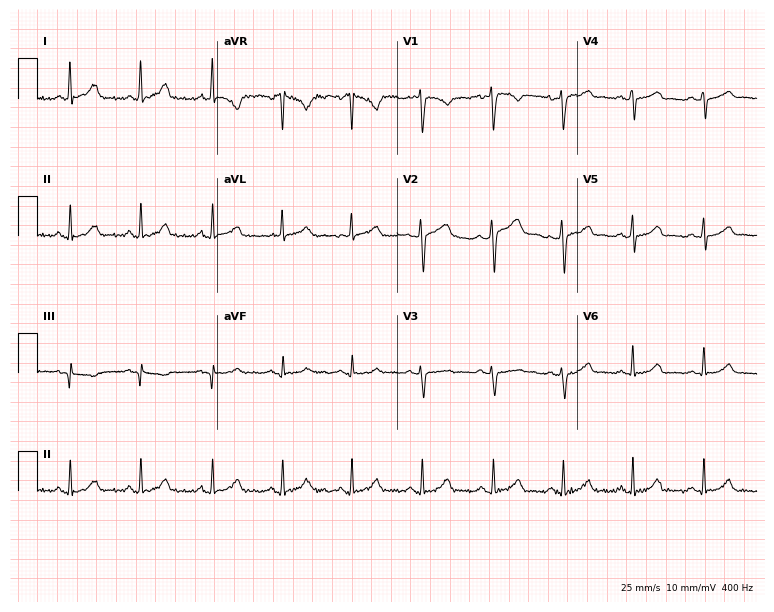
Standard 12-lead ECG recorded from a 45-year-old female (7.3-second recording at 400 Hz). Read as a normal ECG.